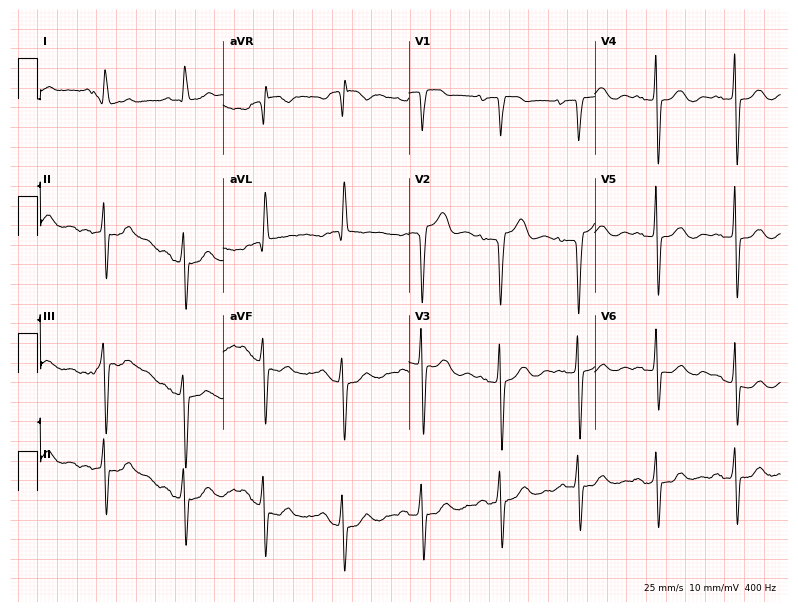
12-lead ECG from a woman, 82 years old. No first-degree AV block, right bundle branch block, left bundle branch block, sinus bradycardia, atrial fibrillation or sinus tachycardia recorded for this tracing.